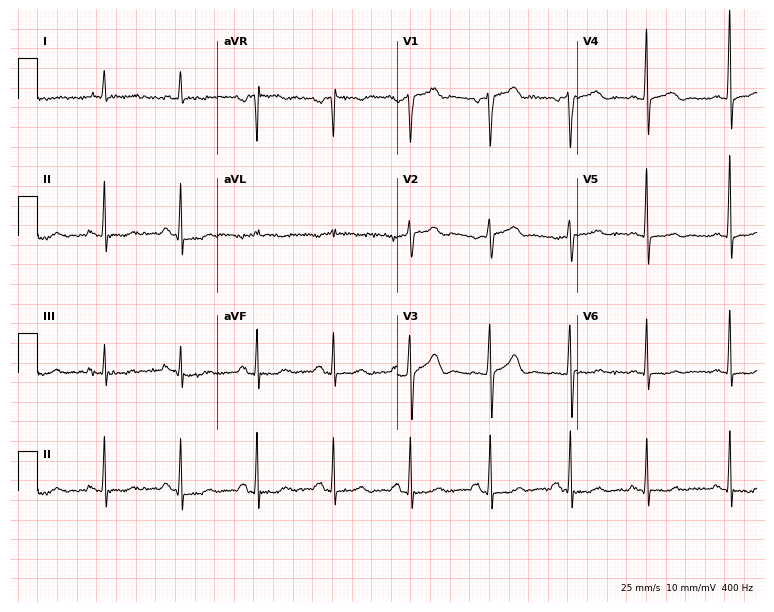
Resting 12-lead electrocardiogram (7.3-second recording at 400 Hz). Patient: a male, 78 years old. Read as a normal ECG.